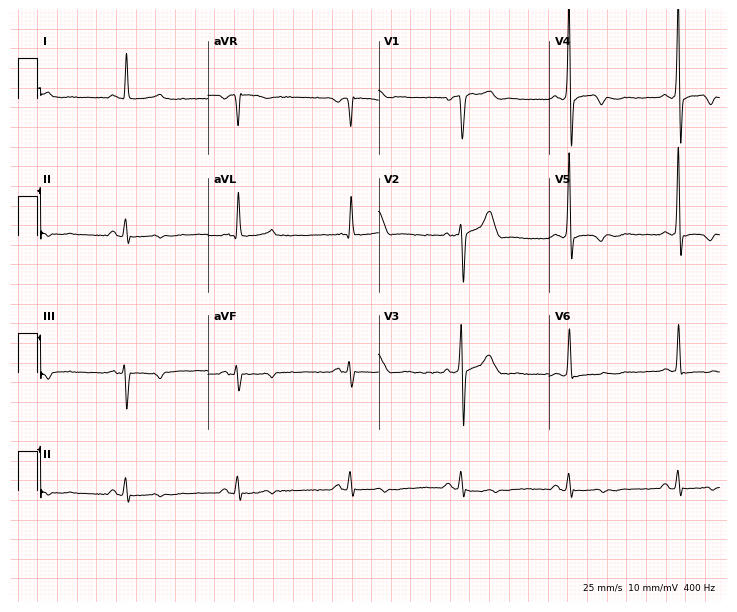
ECG (7-second recording at 400 Hz) — a 56-year-old man. Screened for six findings — first-degree AV block, right bundle branch block, left bundle branch block, sinus bradycardia, atrial fibrillation, sinus tachycardia — none is recorded. Other findings, if any, are not listed.